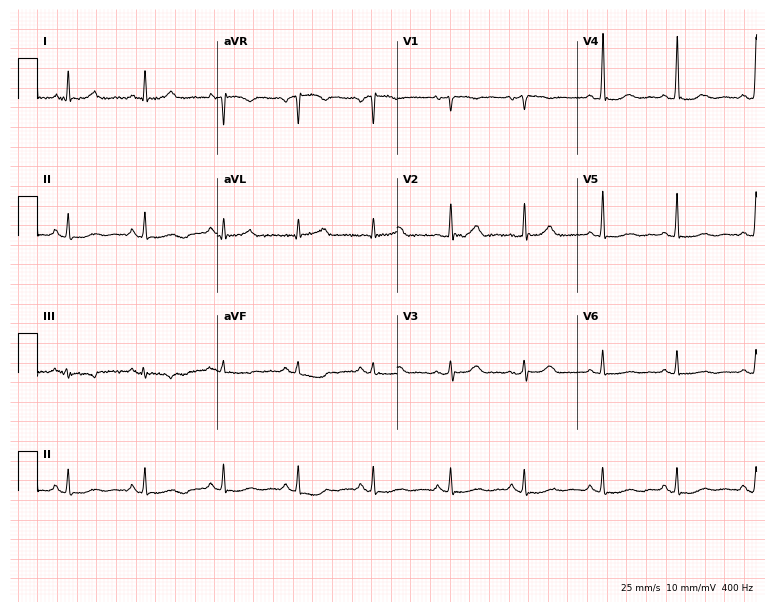
Standard 12-lead ECG recorded from a female, 71 years old (7.3-second recording at 400 Hz). Read as a normal ECG.